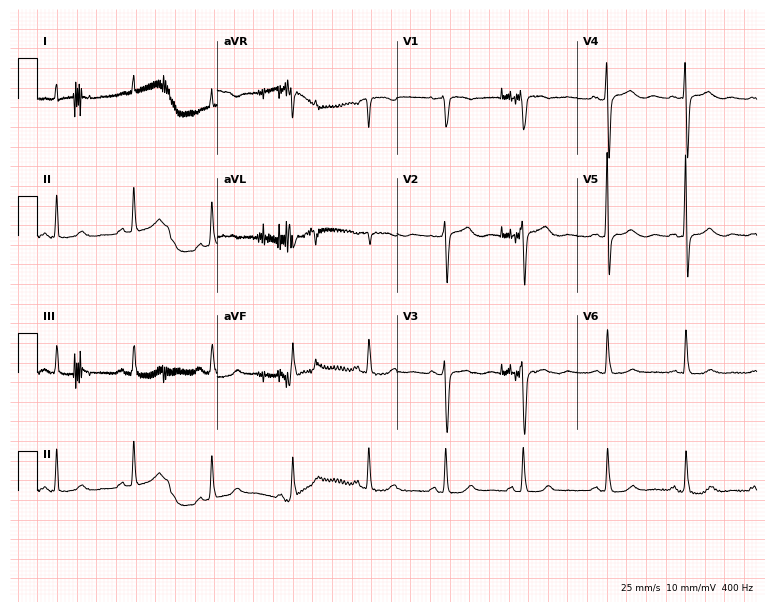
12-lead ECG from a 76-year-old female patient. Screened for six findings — first-degree AV block, right bundle branch block, left bundle branch block, sinus bradycardia, atrial fibrillation, sinus tachycardia — none is recorded.